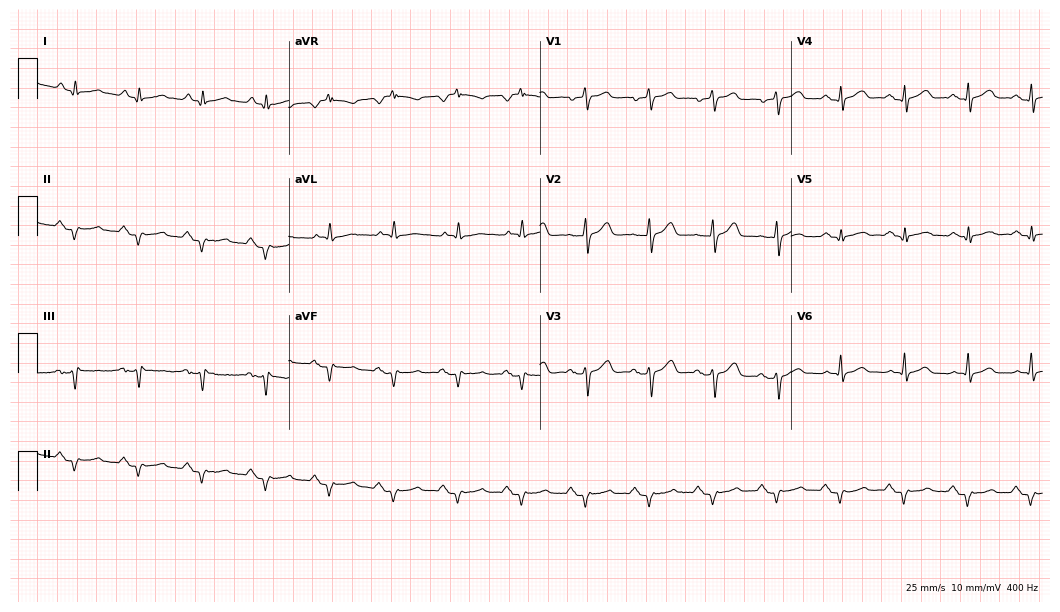
ECG — a 59-year-old male. Labelled as a normal ECG.